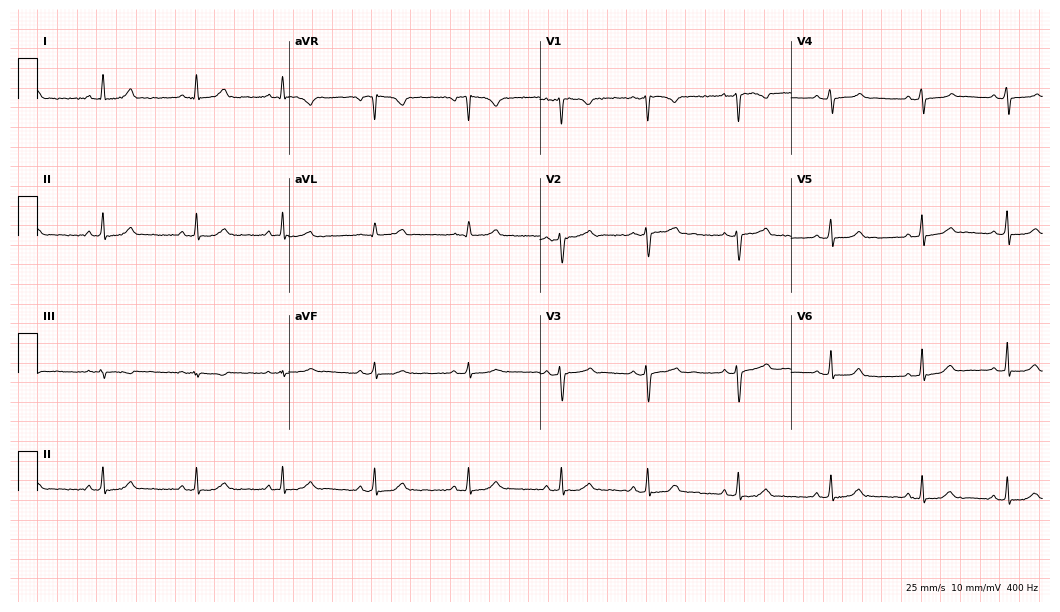
Resting 12-lead electrocardiogram. Patient: a 35-year-old woman. Read as a normal ECG.